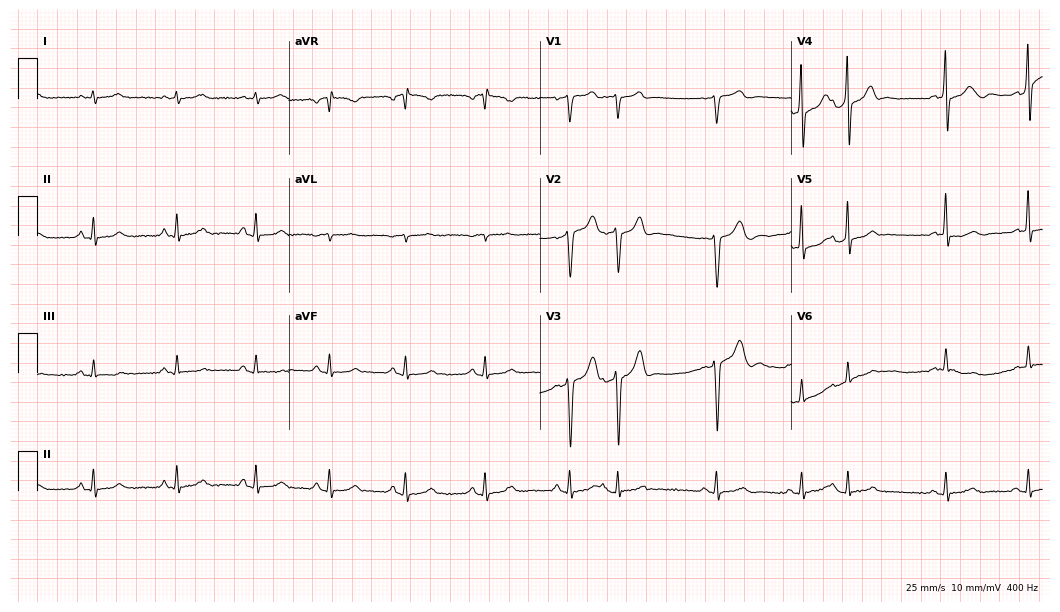
12-lead ECG from a male patient, 70 years old. Recorded interpretation: within normal limits.